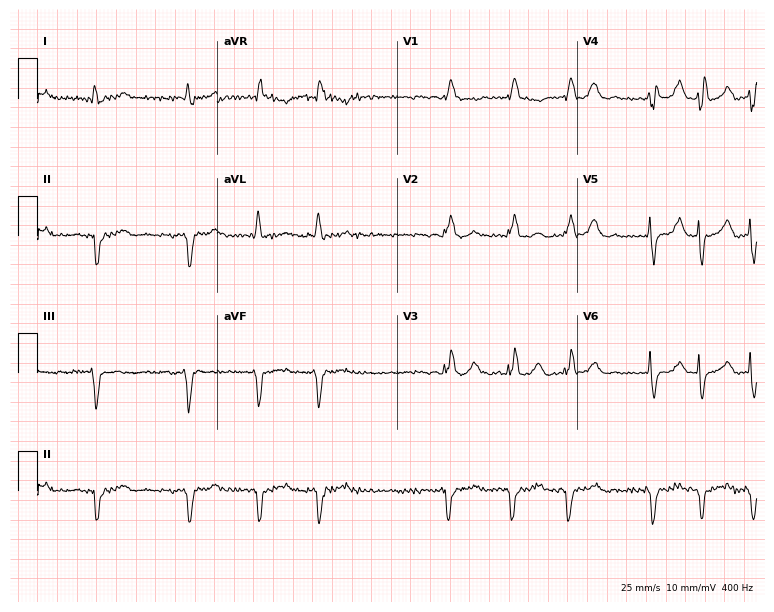
Electrocardiogram (7.3-second recording at 400 Hz), a woman, 82 years old. Interpretation includes right bundle branch block (RBBB), atrial fibrillation (AF).